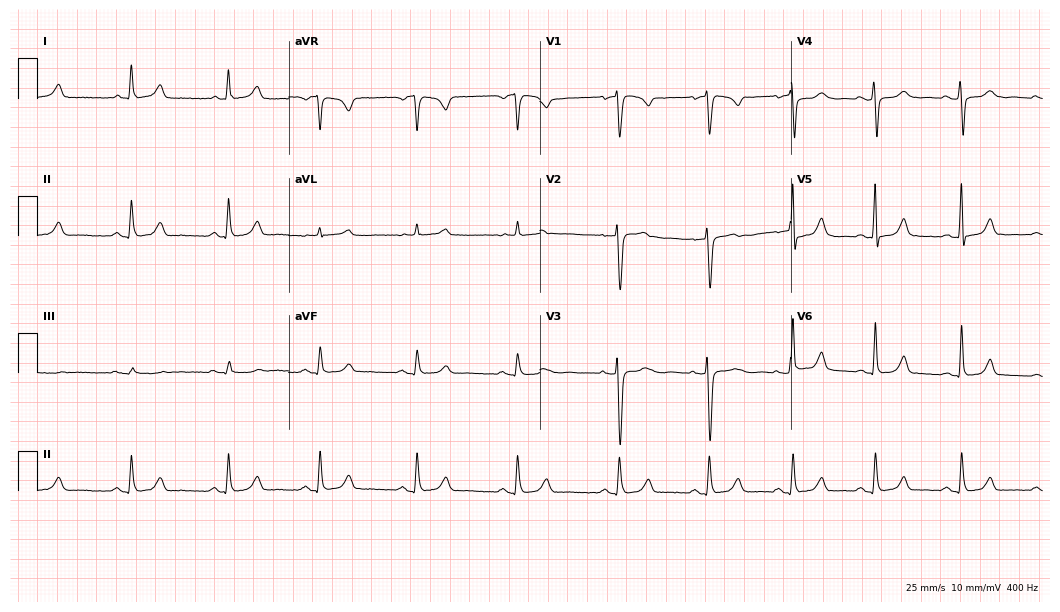
Resting 12-lead electrocardiogram (10.2-second recording at 400 Hz). Patient: a 46-year-old woman. Read as a normal ECG.